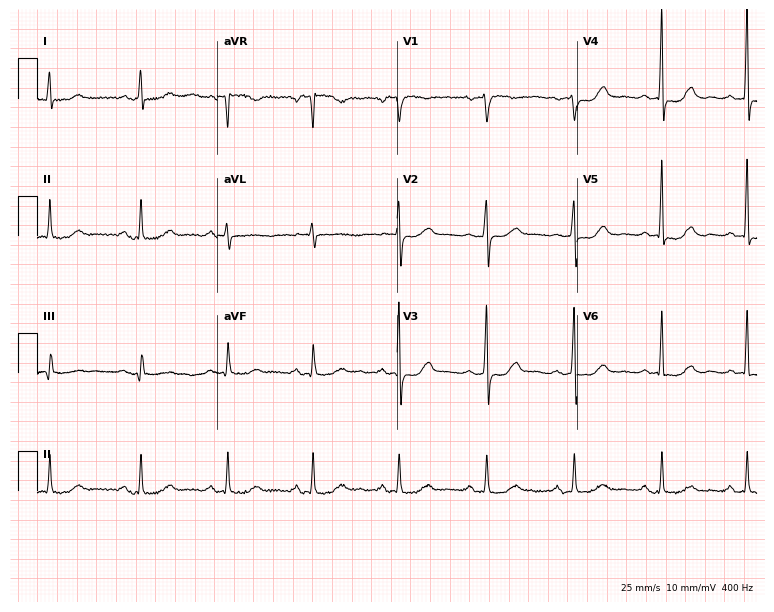
Electrocardiogram, a female patient, 54 years old. Of the six screened findings (first-degree AV block, right bundle branch block (RBBB), left bundle branch block (LBBB), sinus bradycardia, atrial fibrillation (AF), sinus tachycardia), none is recorded.